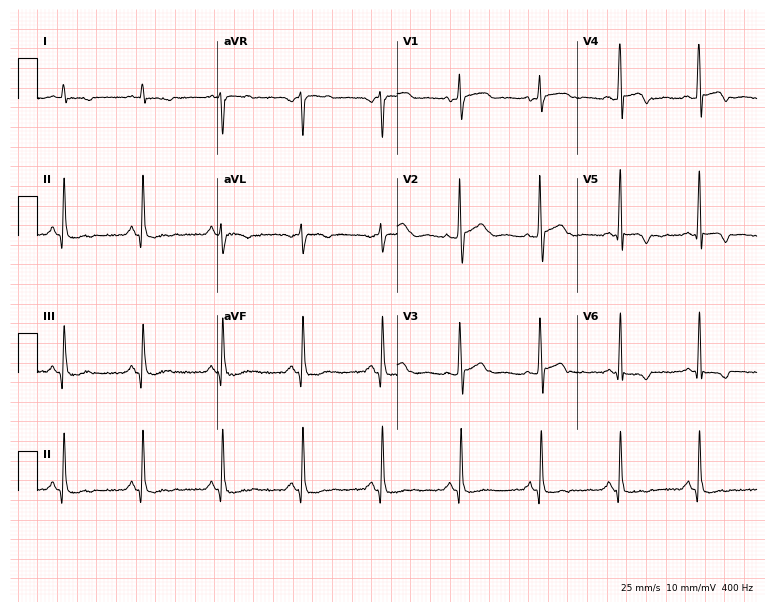
Standard 12-lead ECG recorded from a man, 54 years old. None of these six findings is recorded: first-degree AV block, right bundle branch block, left bundle branch block, sinus bradycardia, atrial fibrillation, sinus tachycardia. Only these six findings were labelled.